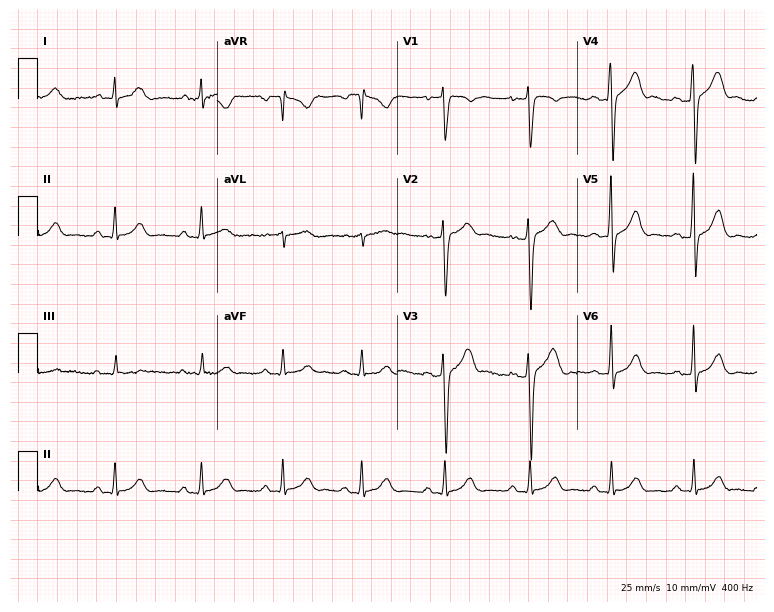
Standard 12-lead ECG recorded from a 33-year-old male. None of these six findings is recorded: first-degree AV block, right bundle branch block, left bundle branch block, sinus bradycardia, atrial fibrillation, sinus tachycardia. Other findings, if any, are not listed.